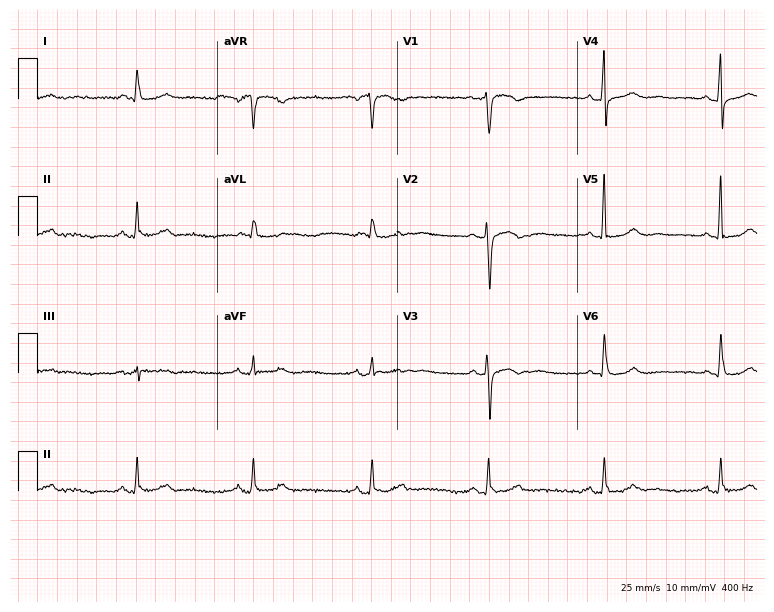
Resting 12-lead electrocardiogram. Patient: a female, 56 years old. None of these six findings is recorded: first-degree AV block, right bundle branch block, left bundle branch block, sinus bradycardia, atrial fibrillation, sinus tachycardia.